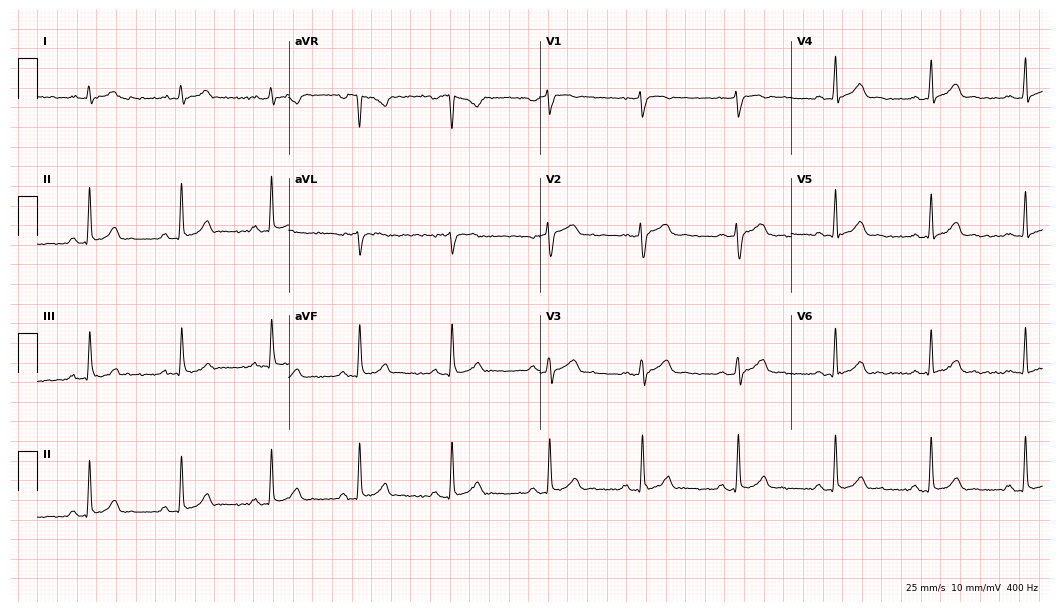
12-lead ECG from a female, 32 years old. Recorded interpretation: within normal limits.